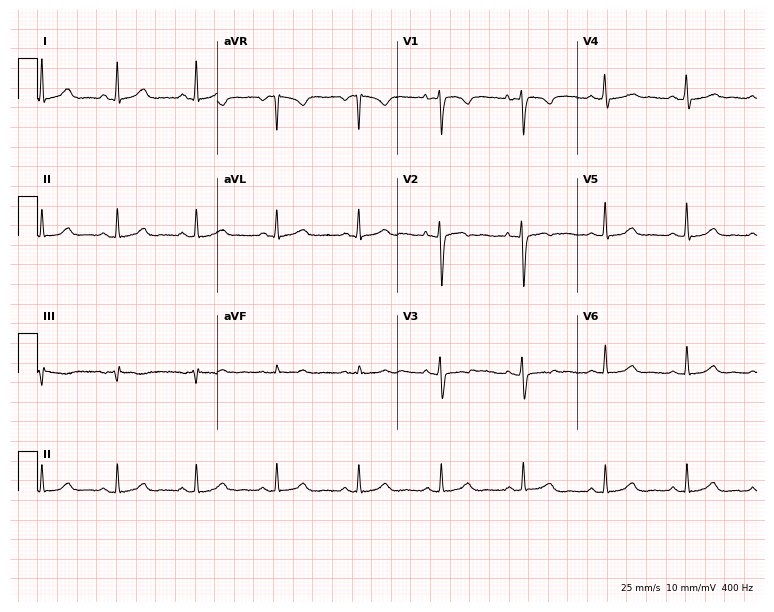
ECG — a female patient, 37 years old. Screened for six findings — first-degree AV block, right bundle branch block, left bundle branch block, sinus bradycardia, atrial fibrillation, sinus tachycardia — none is recorded.